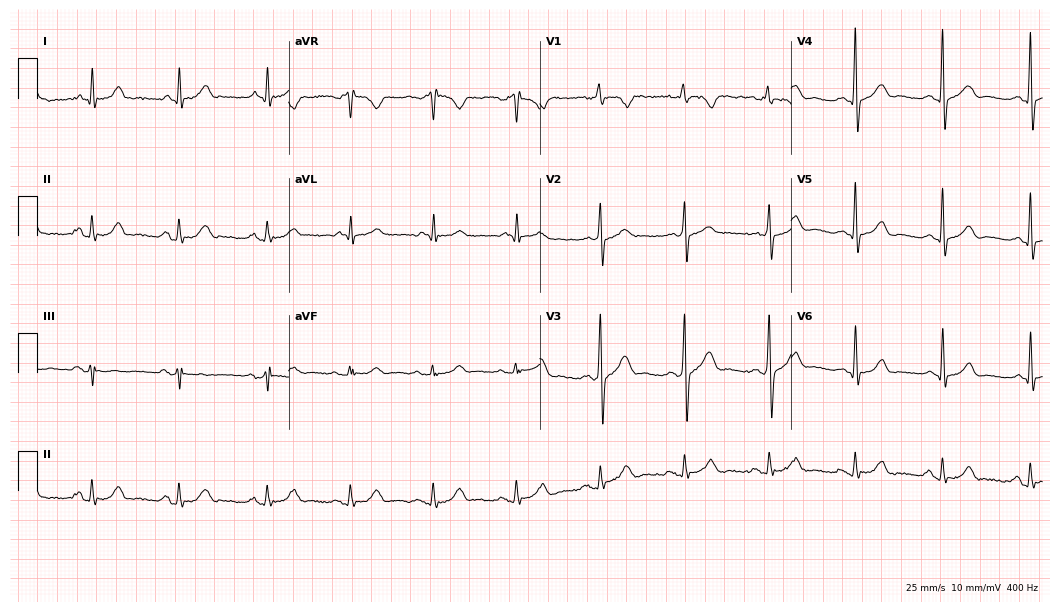
12-lead ECG from a 59-year-old man. Labelled as a normal ECG.